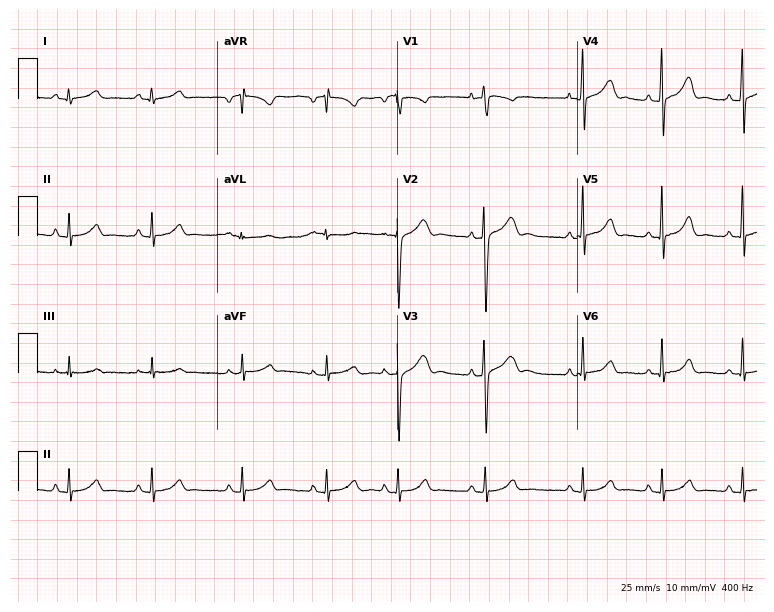
Standard 12-lead ECG recorded from a 20-year-old female. None of these six findings is recorded: first-degree AV block, right bundle branch block, left bundle branch block, sinus bradycardia, atrial fibrillation, sinus tachycardia.